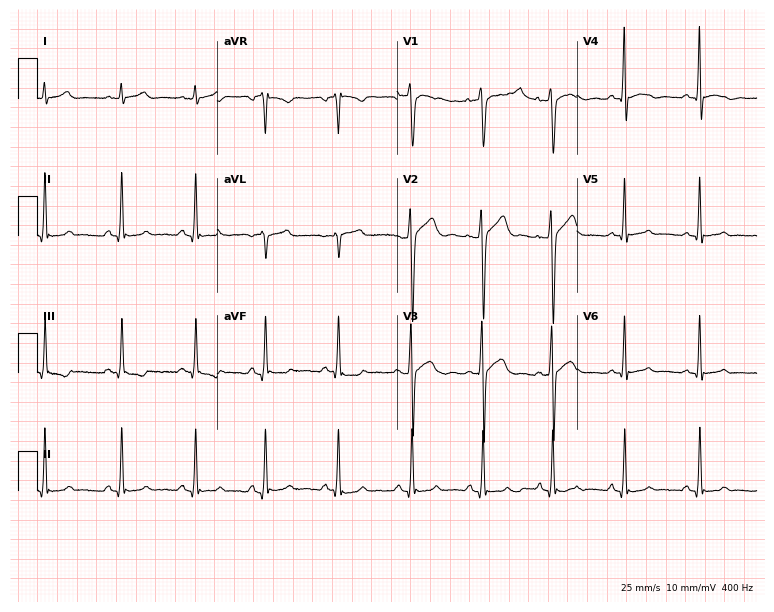
Standard 12-lead ECG recorded from a 23-year-old male patient. None of these six findings is recorded: first-degree AV block, right bundle branch block, left bundle branch block, sinus bradycardia, atrial fibrillation, sinus tachycardia. Only these six findings were labelled.